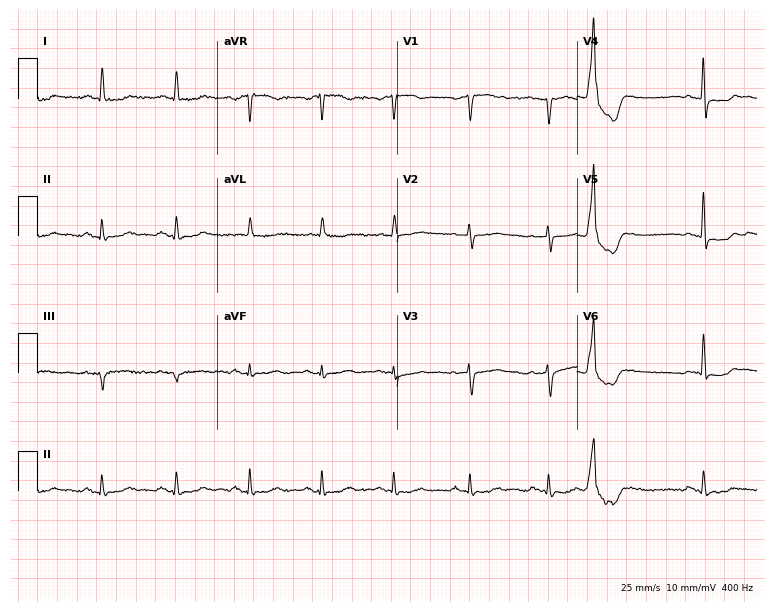
ECG — a man, 73 years old. Screened for six findings — first-degree AV block, right bundle branch block, left bundle branch block, sinus bradycardia, atrial fibrillation, sinus tachycardia — none is recorded. Other findings, if any, are not listed.